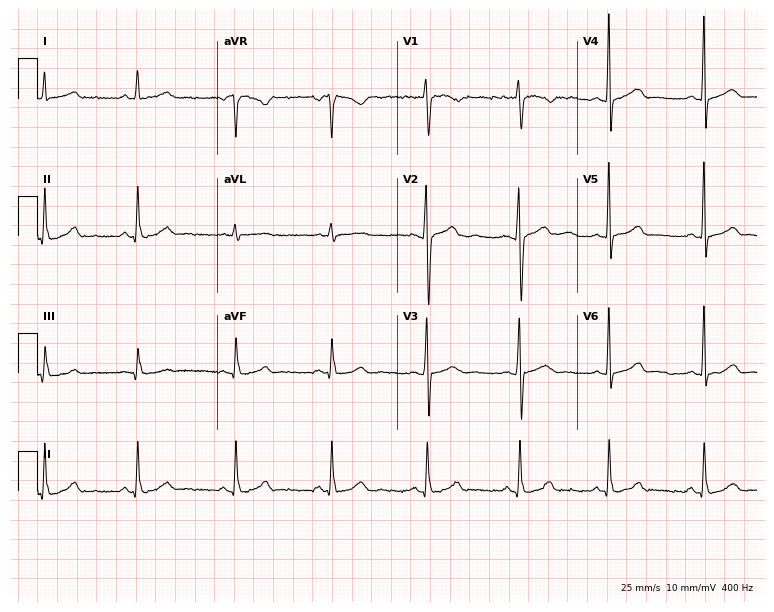
12-lead ECG (7.3-second recording at 400 Hz) from a female patient, 44 years old. Labelled as a normal ECG.